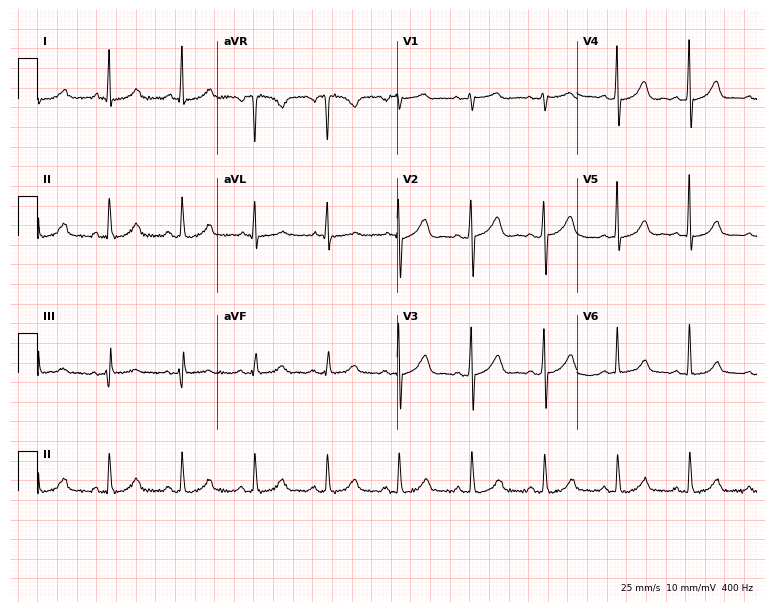
Standard 12-lead ECG recorded from a female patient, 20 years old. Read as a normal ECG.